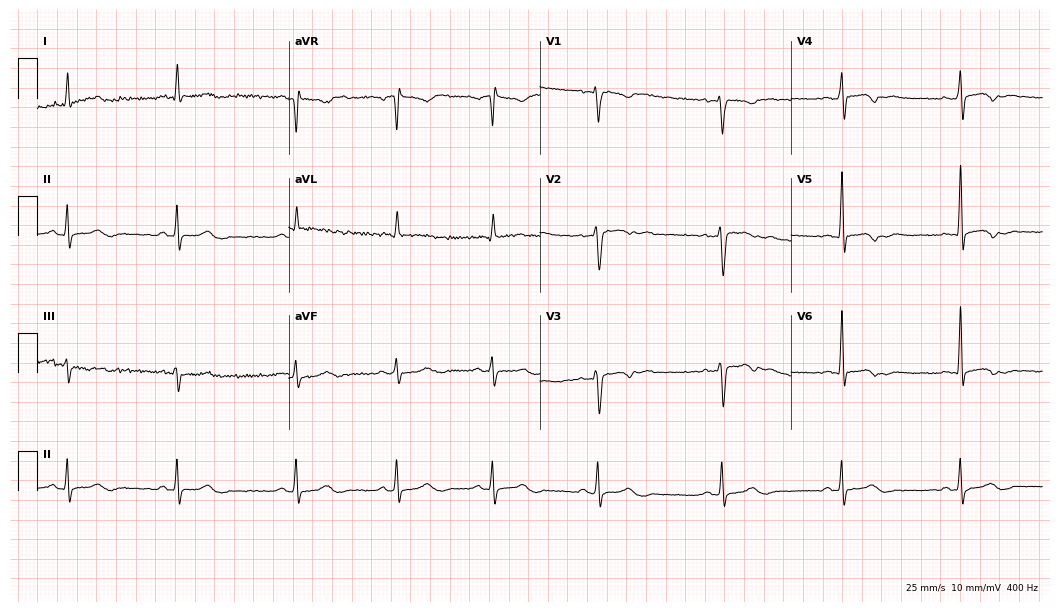
12-lead ECG from a woman, 47 years old (10.2-second recording at 400 Hz). No first-degree AV block, right bundle branch block, left bundle branch block, sinus bradycardia, atrial fibrillation or sinus tachycardia recorded for this tracing. Findings outside these six are not listed.